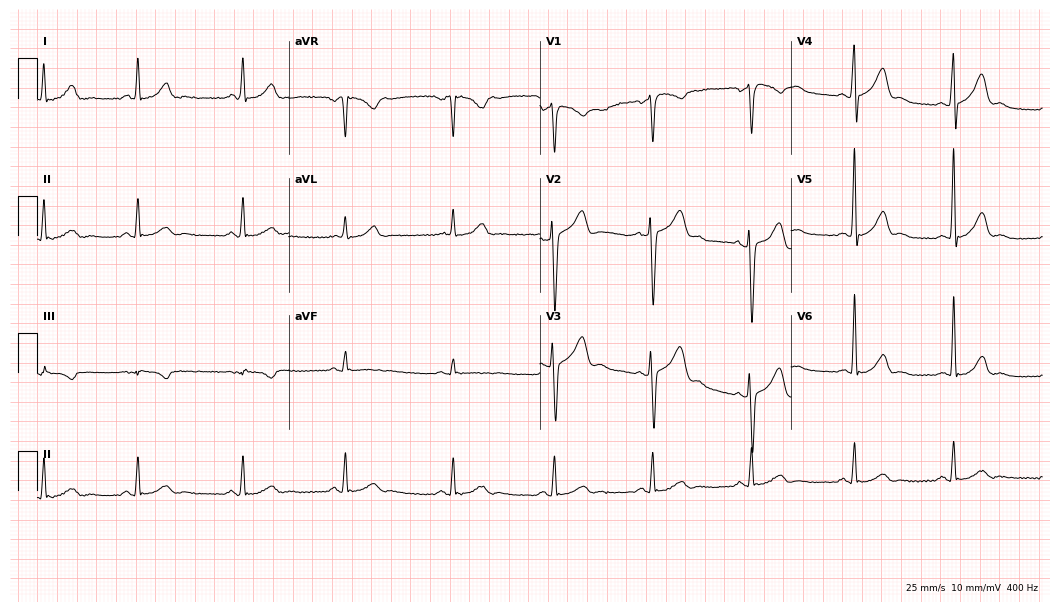
12-lead ECG (10.2-second recording at 400 Hz) from a male, 42 years old. Labelled as a normal ECG.